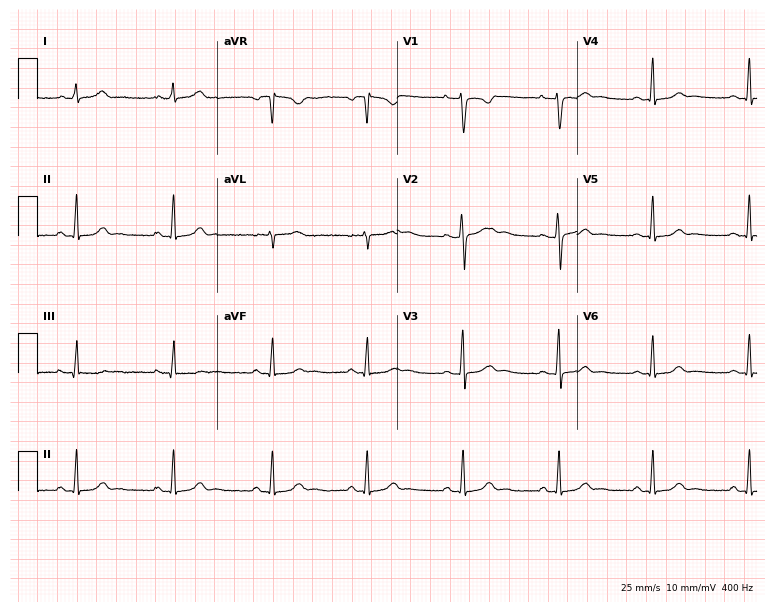
Electrocardiogram (7.3-second recording at 400 Hz), a 25-year-old female. Of the six screened findings (first-degree AV block, right bundle branch block, left bundle branch block, sinus bradycardia, atrial fibrillation, sinus tachycardia), none is recorded. Findings outside these six are not listed.